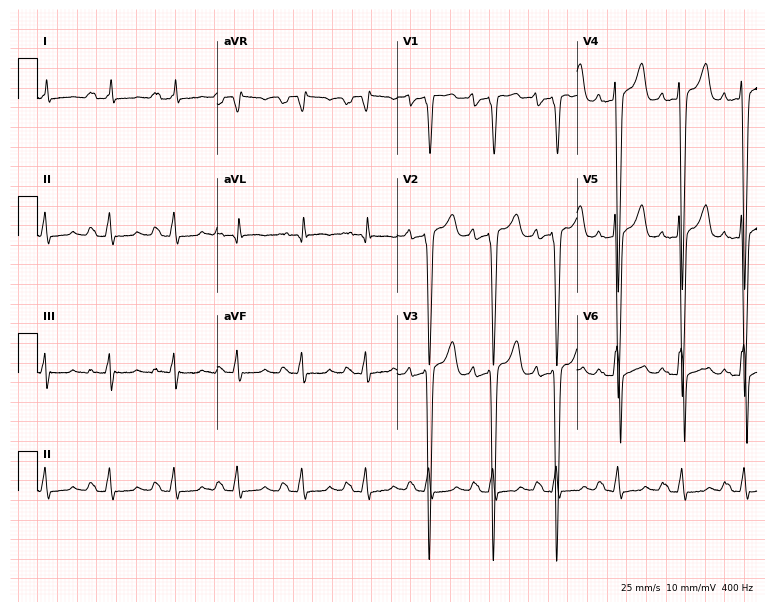
Standard 12-lead ECG recorded from a male, 27 years old. None of these six findings is recorded: first-degree AV block, right bundle branch block, left bundle branch block, sinus bradycardia, atrial fibrillation, sinus tachycardia.